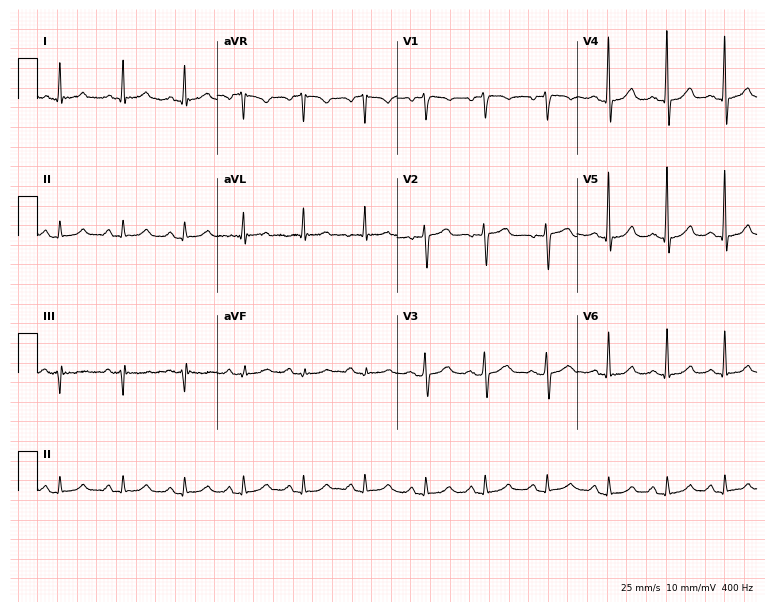
Electrocardiogram, a female patient, 55 years old. Overall reading on record: normal ECG.